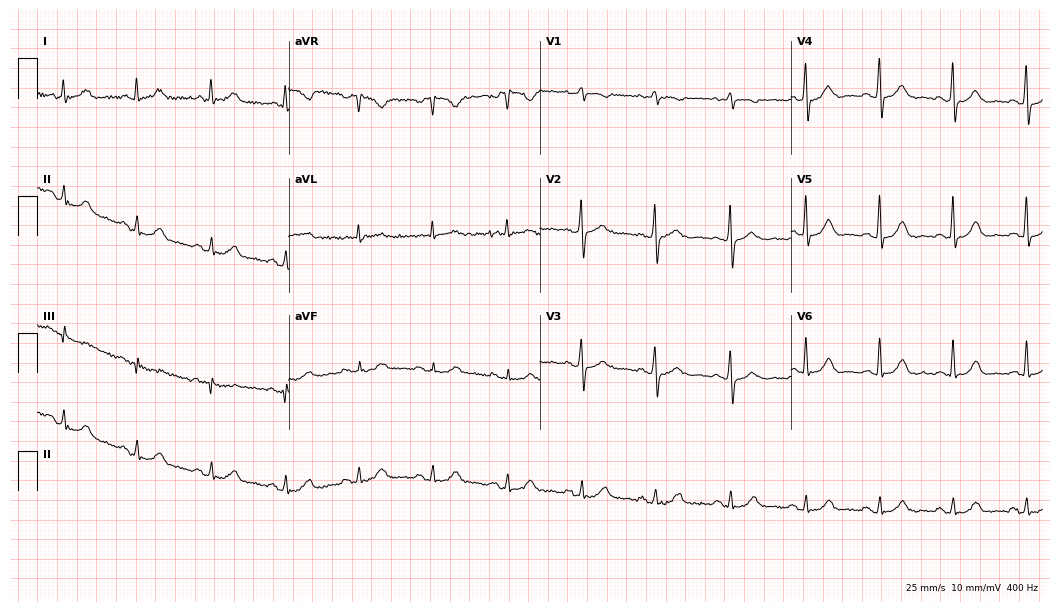
ECG (10.2-second recording at 400 Hz) — a 79-year-old female patient. Screened for six findings — first-degree AV block, right bundle branch block (RBBB), left bundle branch block (LBBB), sinus bradycardia, atrial fibrillation (AF), sinus tachycardia — none is recorded.